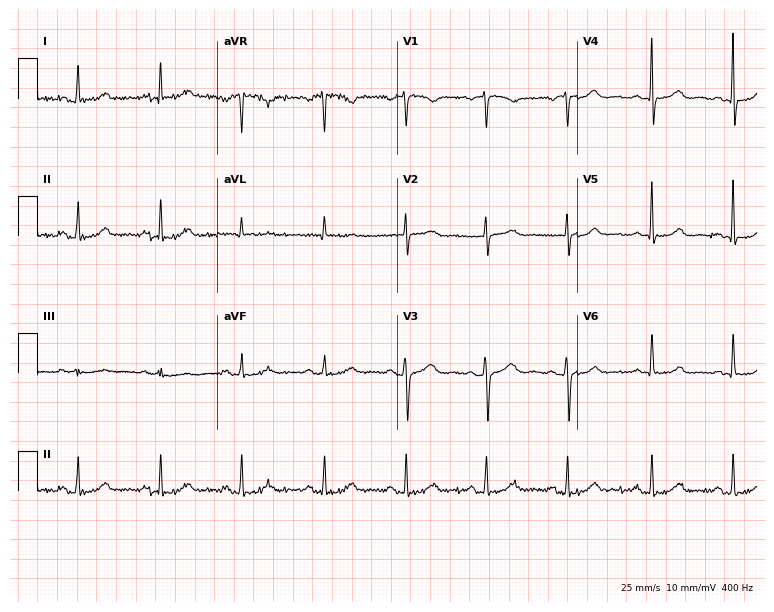
12-lead ECG from a female, 51 years old. Labelled as a normal ECG.